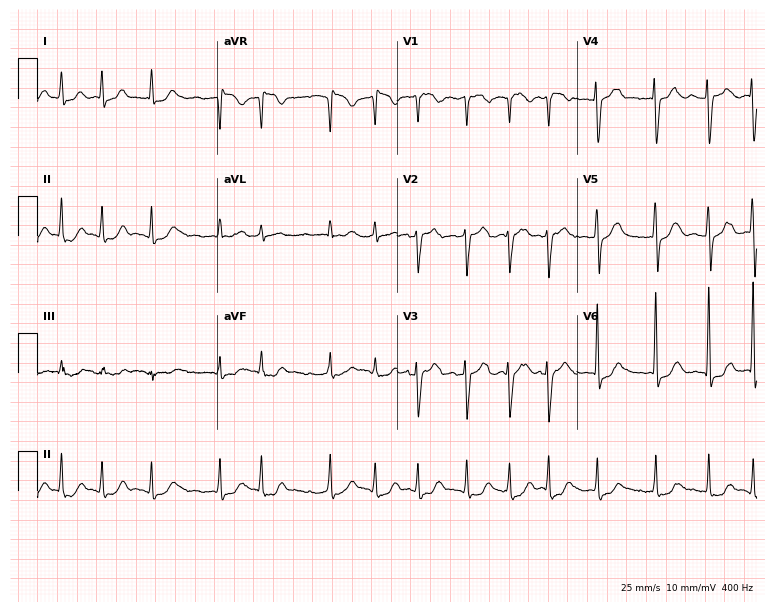
Standard 12-lead ECG recorded from a female, 70 years old (7.3-second recording at 400 Hz). The tracing shows atrial fibrillation (AF).